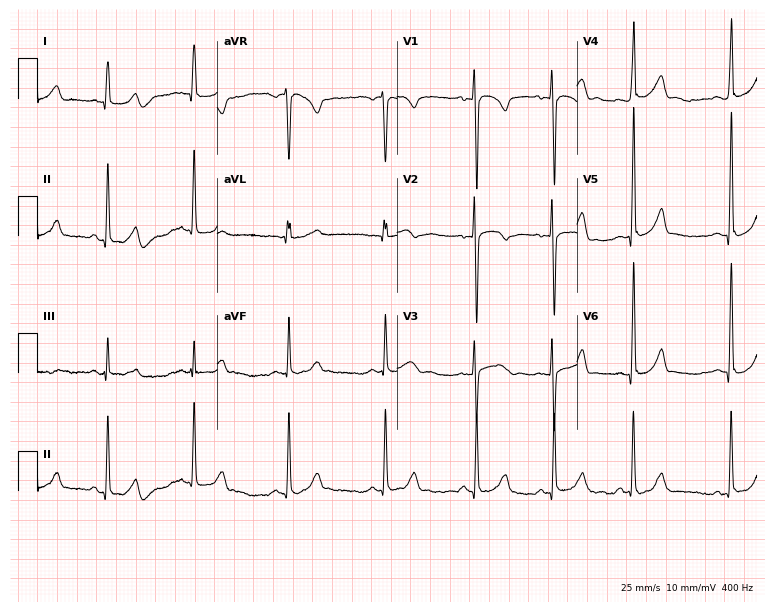
Electrocardiogram (7.3-second recording at 400 Hz), a 20-year-old woman. Overall reading on record: normal ECG.